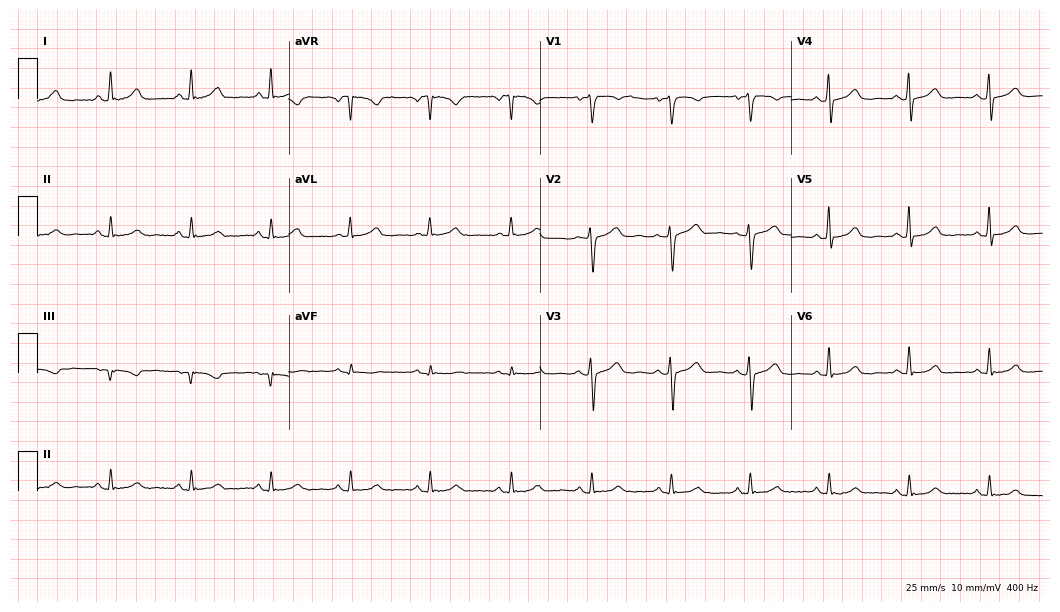
Electrocardiogram, a 57-year-old woman. Overall reading on record: normal ECG.